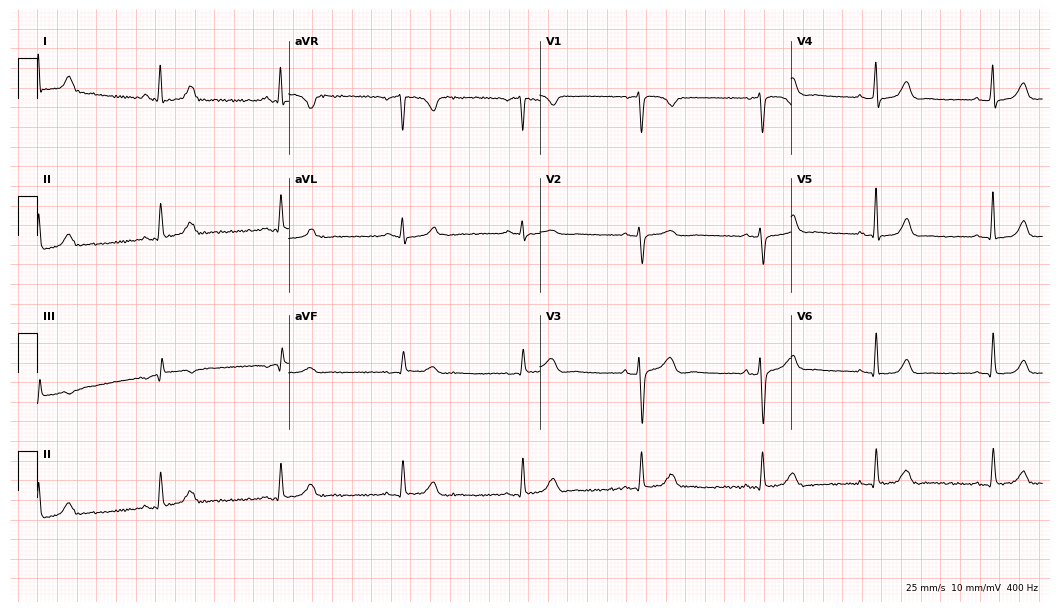
12-lead ECG (10.2-second recording at 400 Hz) from a 61-year-old female patient. Findings include sinus bradycardia (a sinus rate of 50 beats per minute or less).